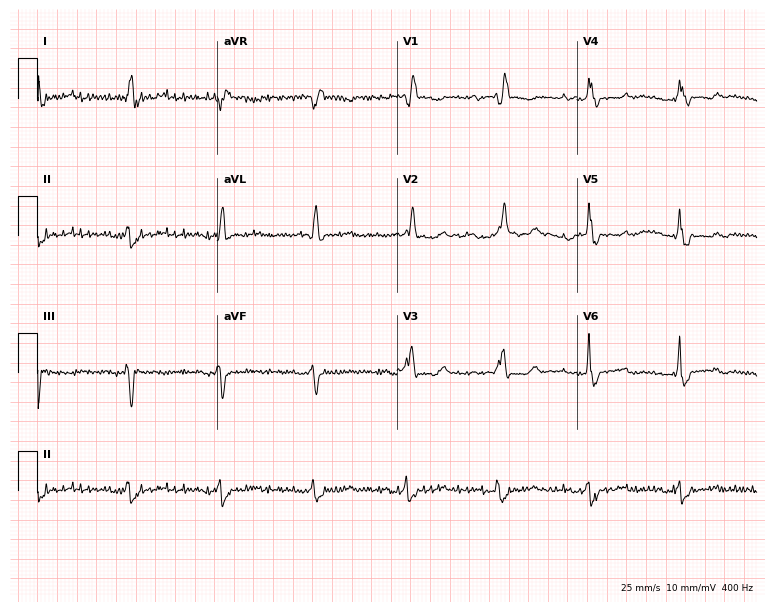
12-lead ECG from a 79-year-old female patient. No first-degree AV block, right bundle branch block, left bundle branch block, sinus bradycardia, atrial fibrillation or sinus tachycardia recorded for this tracing.